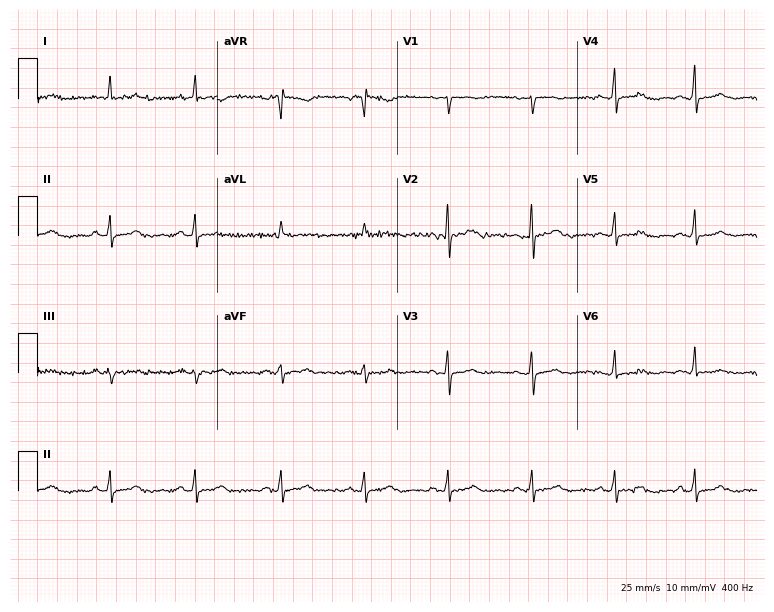
12-lead ECG from a 60-year-old female (7.3-second recording at 400 Hz). No first-degree AV block, right bundle branch block, left bundle branch block, sinus bradycardia, atrial fibrillation or sinus tachycardia recorded for this tracing.